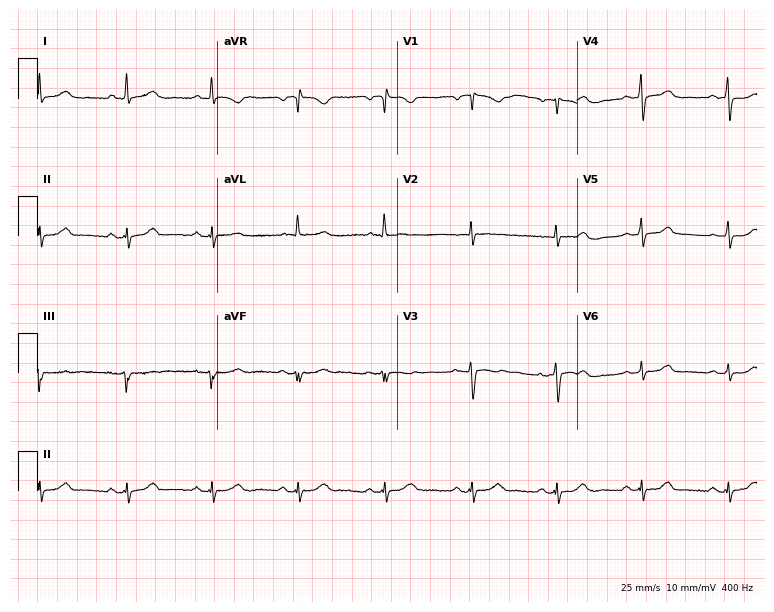
Resting 12-lead electrocardiogram (7.3-second recording at 400 Hz). Patient: a 79-year-old female. Read as a normal ECG.